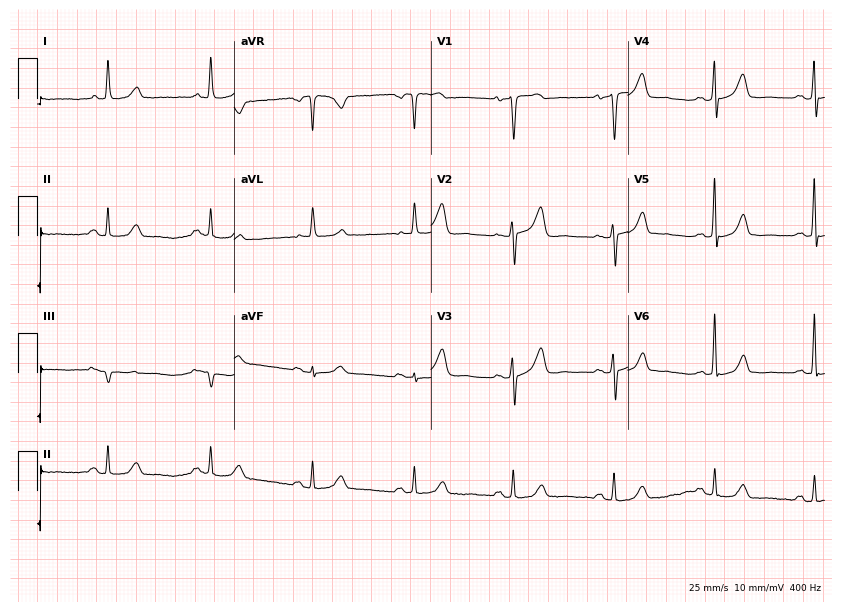
Resting 12-lead electrocardiogram (8-second recording at 400 Hz). Patient: a 76-year-old woman. None of these six findings is recorded: first-degree AV block, right bundle branch block (RBBB), left bundle branch block (LBBB), sinus bradycardia, atrial fibrillation (AF), sinus tachycardia. Other findings, if any, are not listed.